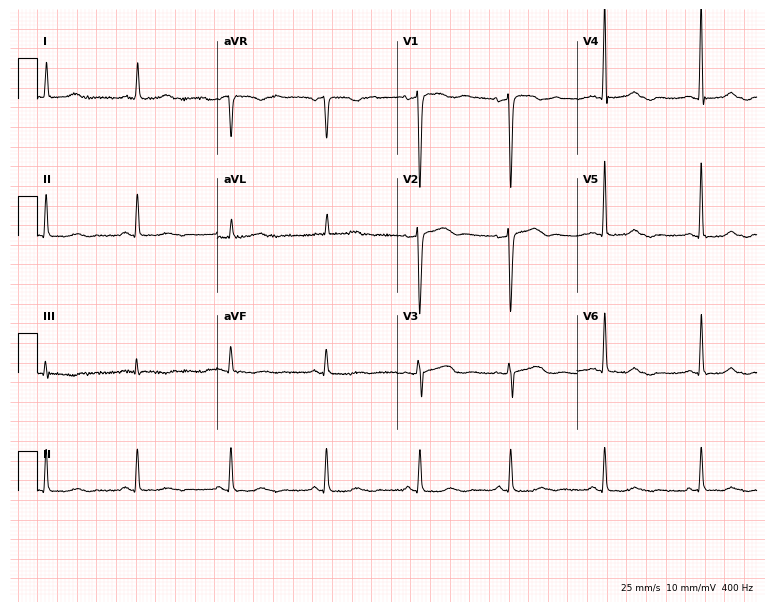
ECG (7.3-second recording at 400 Hz) — a 47-year-old woman. Labelled as a normal ECG.